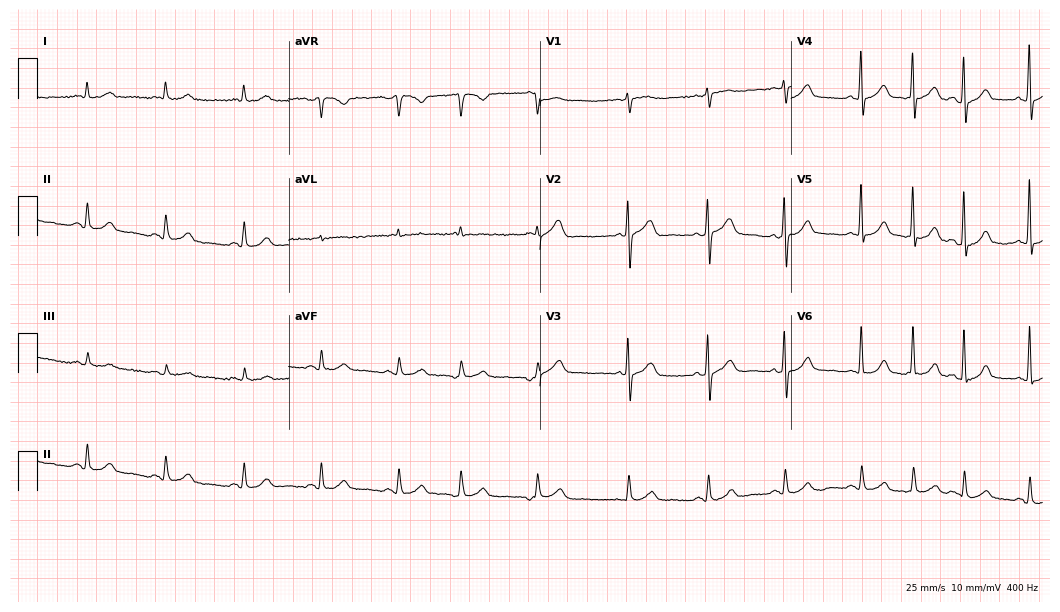
ECG — a male, 74 years old. Labelled as a normal ECG.